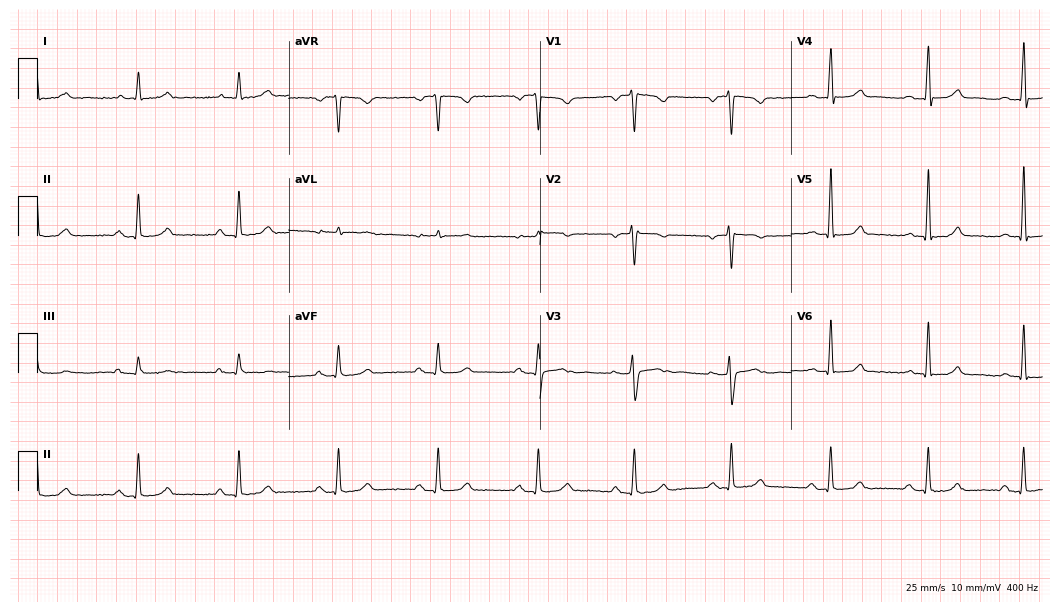
Electrocardiogram, a woman, 56 years old. Overall reading on record: normal ECG.